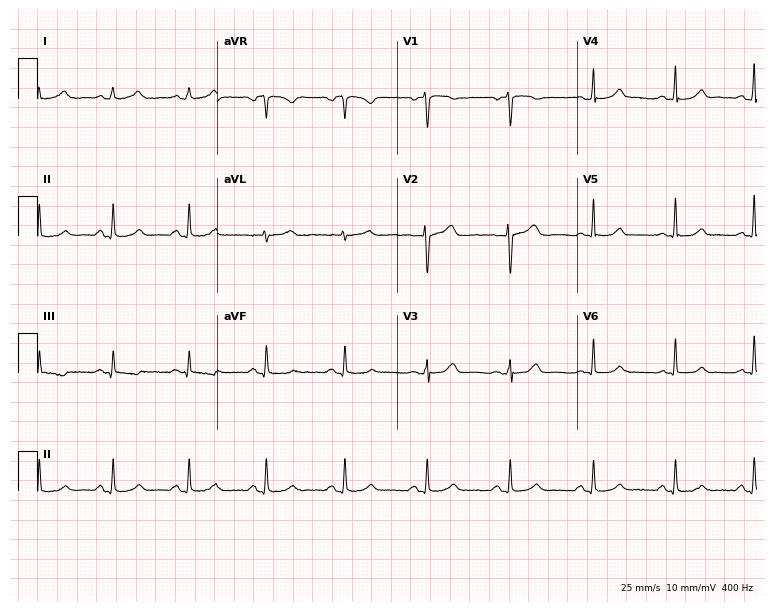
ECG — a woman, 45 years old. Labelled as a normal ECG.